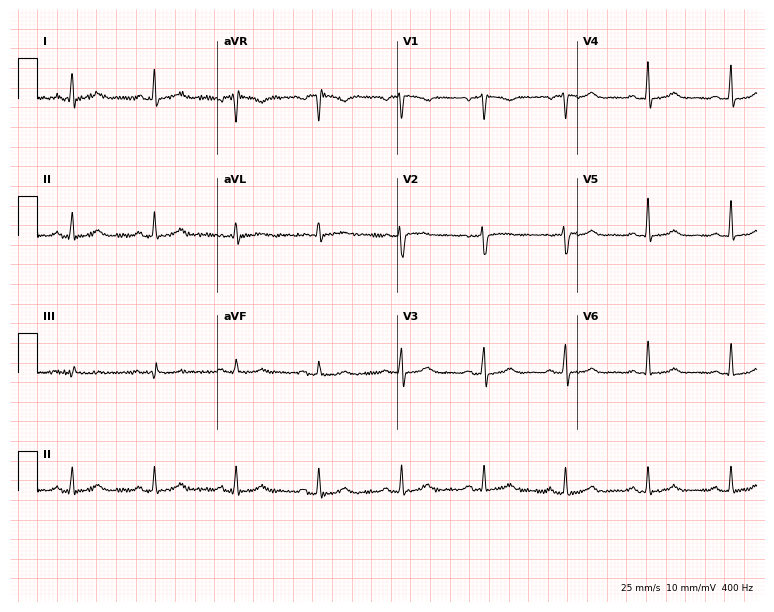
Electrocardiogram, a 43-year-old woman. Of the six screened findings (first-degree AV block, right bundle branch block, left bundle branch block, sinus bradycardia, atrial fibrillation, sinus tachycardia), none is recorded.